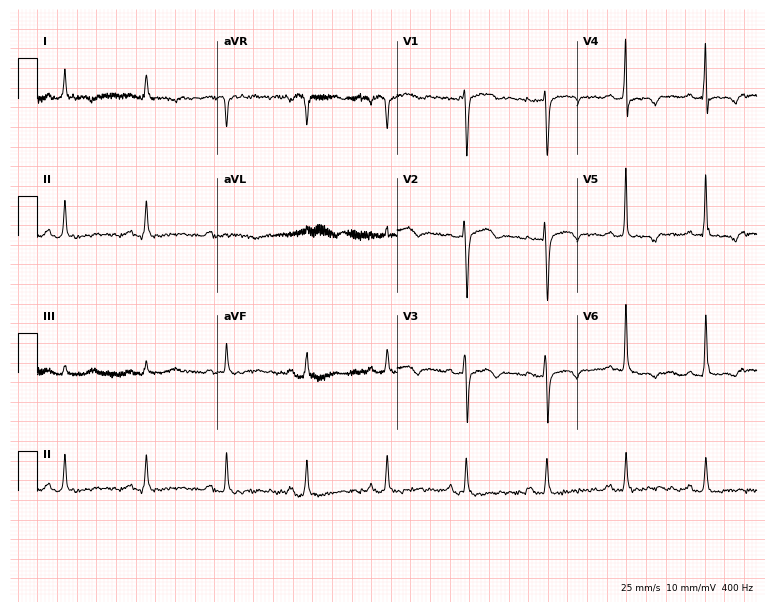
Standard 12-lead ECG recorded from a 57-year-old female patient. None of these six findings is recorded: first-degree AV block, right bundle branch block, left bundle branch block, sinus bradycardia, atrial fibrillation, sinus tachycardia.